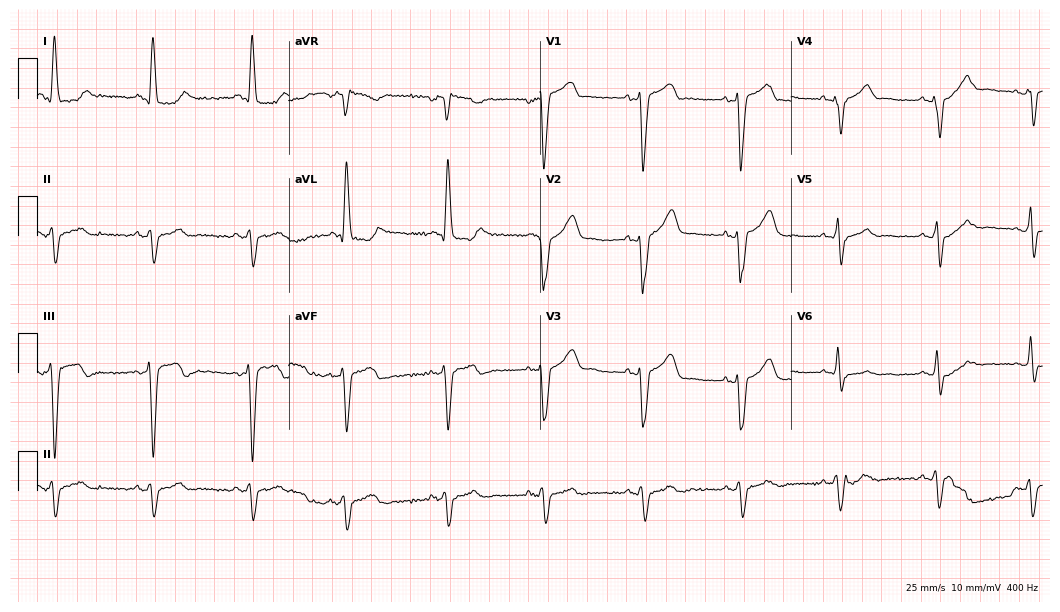
12-lead ECG from a 69-year-old woman. Shows left bundle branch block (LBBB).